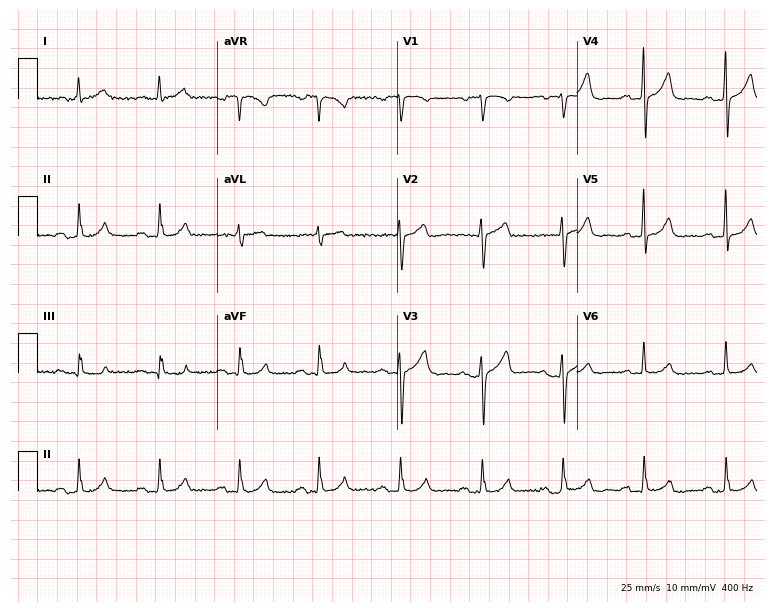
Electrocardiogram (7.3-second recording at 400 Hz), a woman, 71 years old. Overall reading on record: normal ECG.